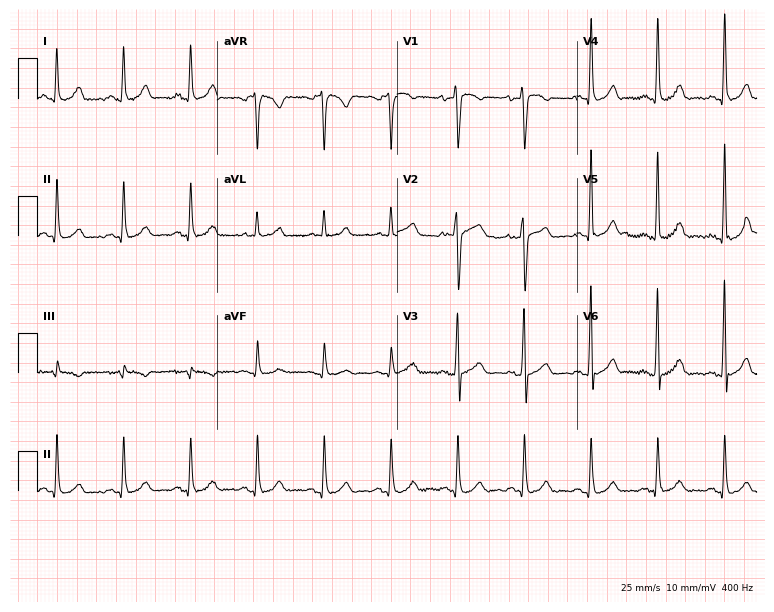
12-lead ECG (7.3-second recording at 400 Hz) from a man, 69 years old. Screened for six findings — first-degree AV block, right bundle branch block, left bundle branch block, sinus bradycardia, atrial fibrillation, sinus tachycardia — none is recorded.